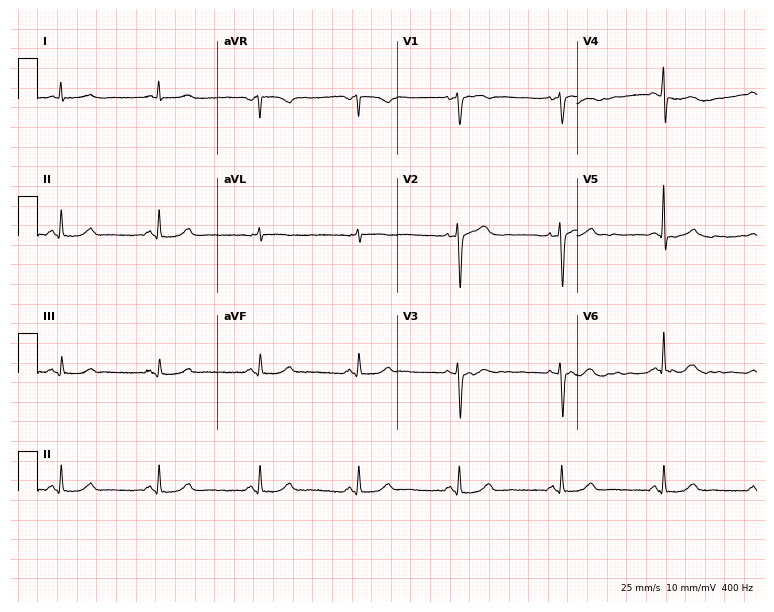
12-lead ECG from a 62-year-old woman (7.3-second recording at 400 Hz). Recorded interpretation: within normal limits.